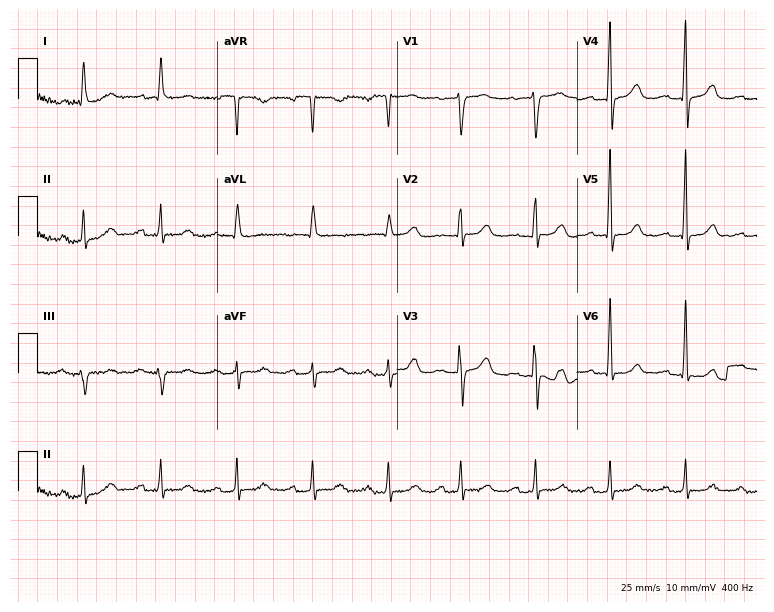
Resting 12-lead electrocardiogram (7.3-second recording at 400 Hz). Patient: a 67-year-old woman. Read as a normal ECG.